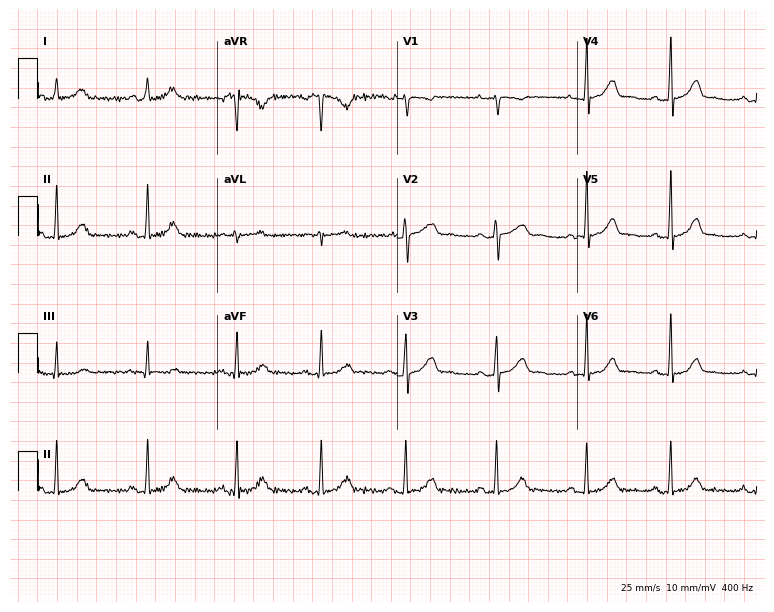
Standard 12-lead ECG recorded from an 18-year-old female (7.3-second recording at 400 Hz). Read as a normal ECG.